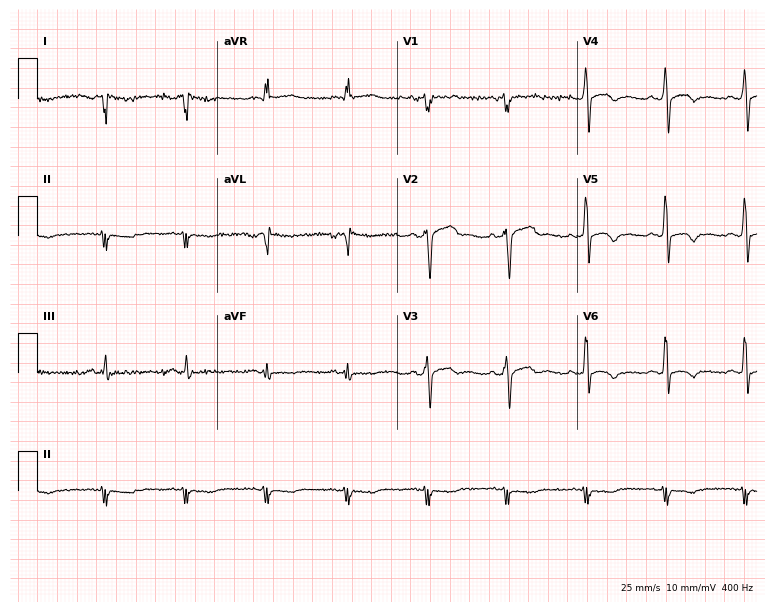
Electrocardiogram (7.3-second recording at 400 Hz), a male, 32 years old. Of the six screened findings (first-degree AV block, right bundle branch block (RBBB), left bundle branch block (LBBB), sinus bradycardia, atrial fibrillation (AF), sinus tachycardia), none is recorded. Only these six findings were labelled.